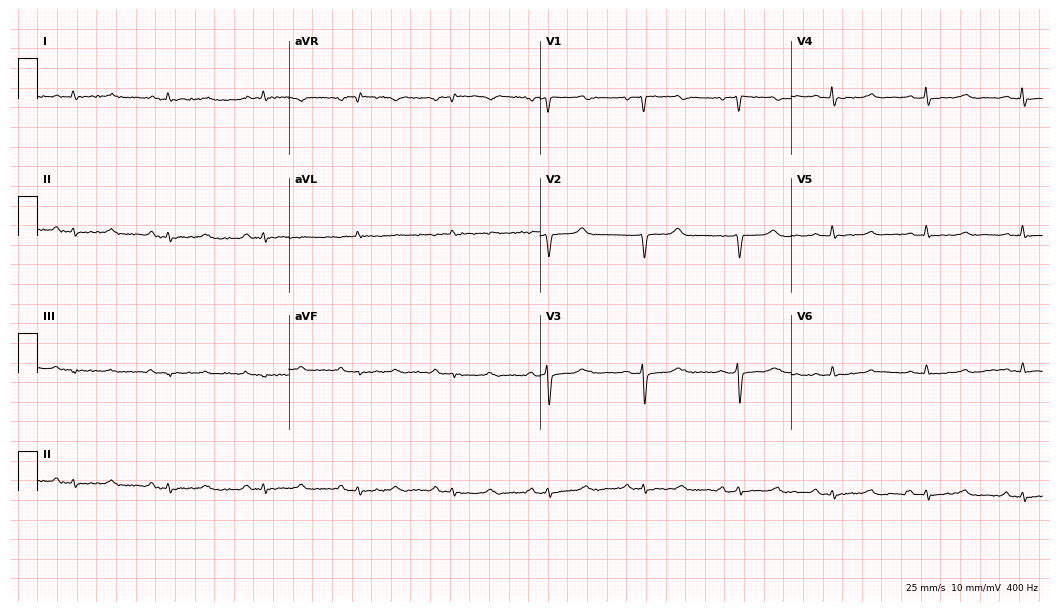
12-lead ECG (10.2-second recording at 400 Hz) from a male, 67 years old. Screened for six findings — first-degree AV block, right bundle branch block (RBBB), left bundle branch block (LBBB), sinus bradycardia, atrial fibrillation (AF), sinus tachycardia — none is recorded.